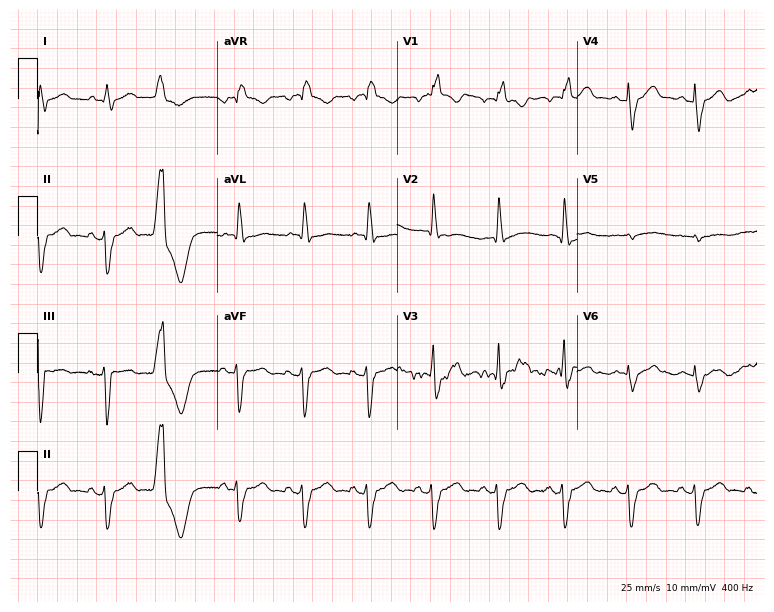
12-lead ECG from an 81-year-old man (7.3-second recording at 400 Hz). No first-degree AV block, right bundle branch block, left bundle branch block, sinus bradycardia, atrial fibrillation or sinus tachycardia recorded for this tracing. Only these six findings were labelled.